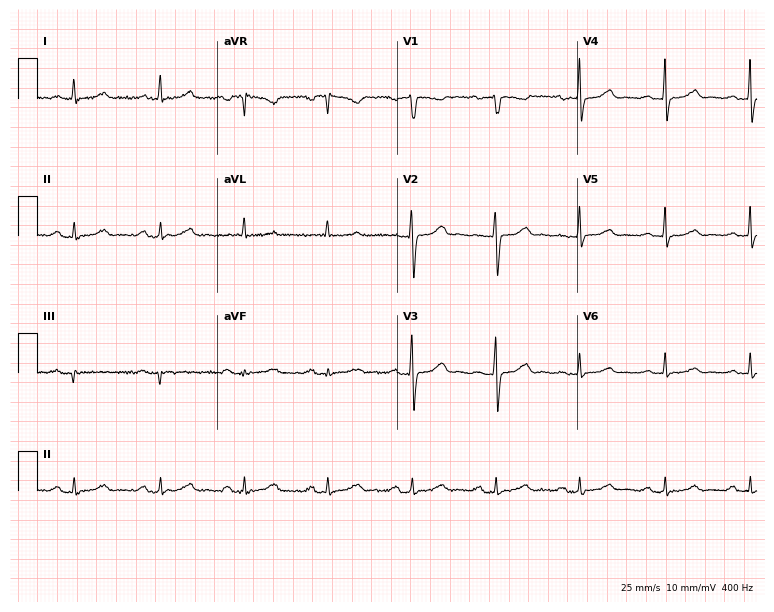
Electrocardiogram (7.3-second recording at 400 Hz), a 62-year-old woman. Overall reading on record: normal ECG.